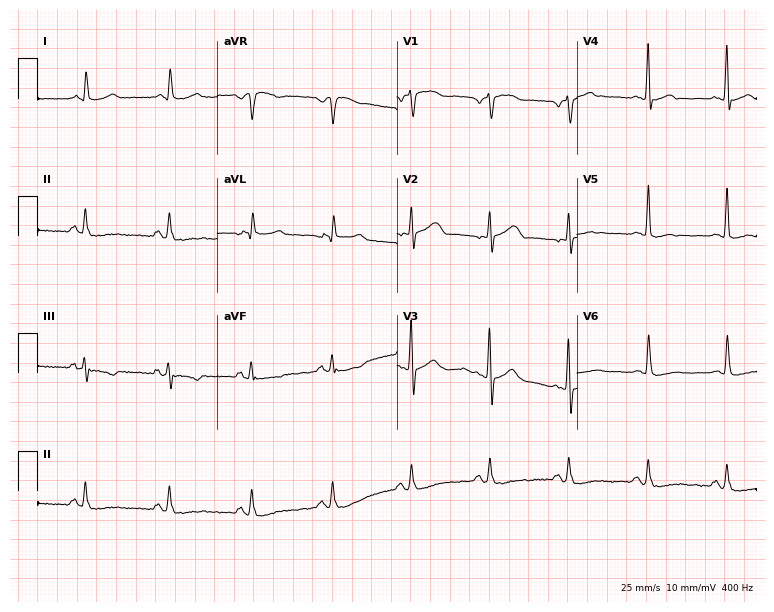
Resting 12-lead electrocardiogram (7.3-second recording at 400 Hz). Patient: a 74-year-old male. None of these six findings is recorded: first-degree AV block, right bundle branch block, left bundle branch block, sinus bradycardia, atrial fibrillation, sinus tachycardia.